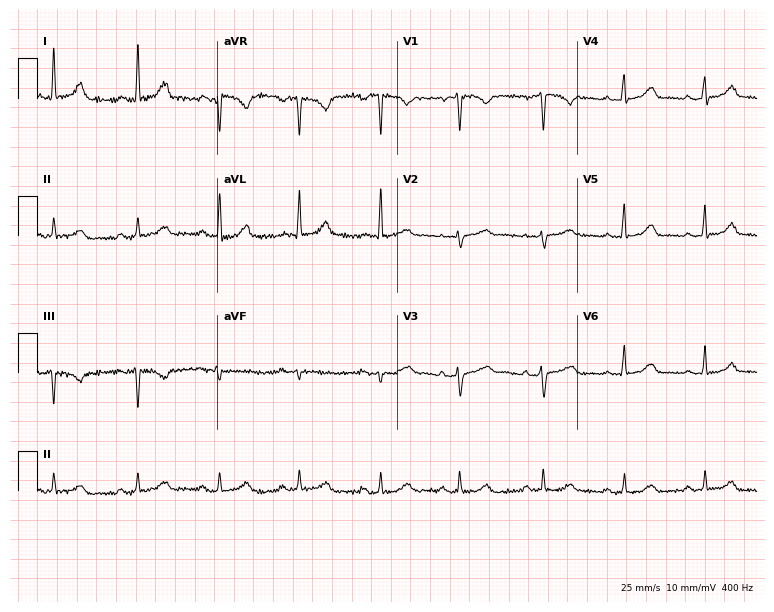
Standard 12-lead ECG recorded from a female, 33 years old. Read as a normal ECG.